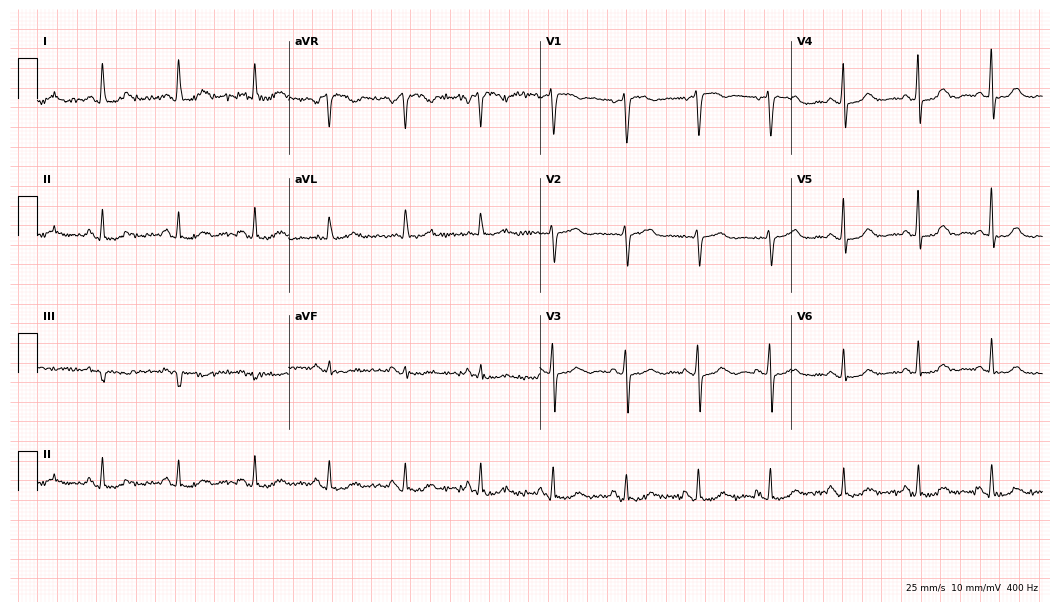
12-lead ECG from a female, 61 years old. No first-degree AV block, right bundle branch block (RBBB), left bundle branch block (LBBB), sinus bradycardia, atrial fibrillation (AF) or sinus tachycardia recorded for this tracing. Other findings, if any, are not listed.